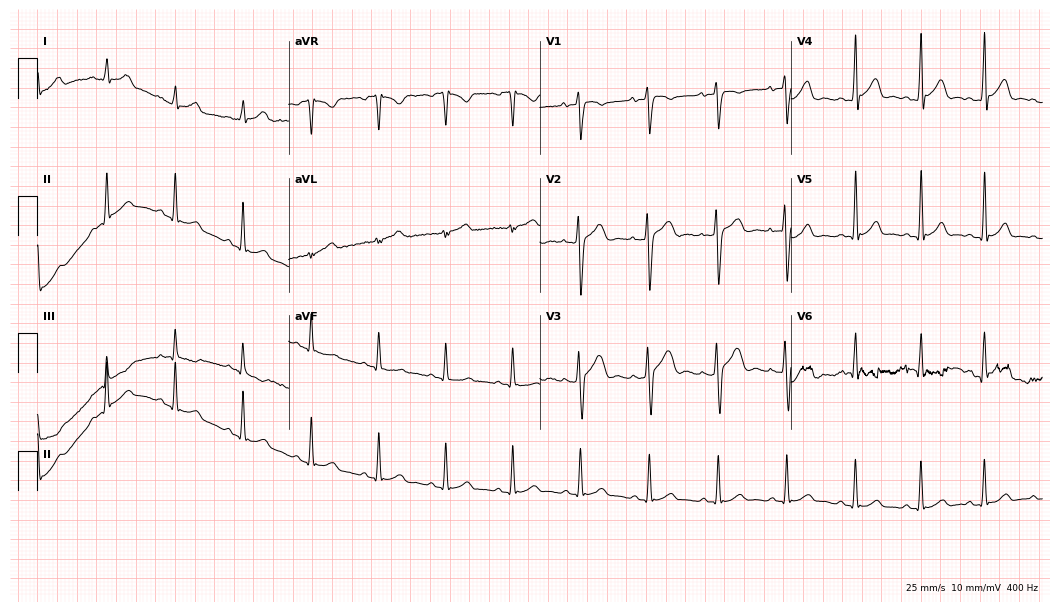
ECG (10.2-second recording at 400 Hz) — a male patient, 21 years old. Labelled as a normal ECG.